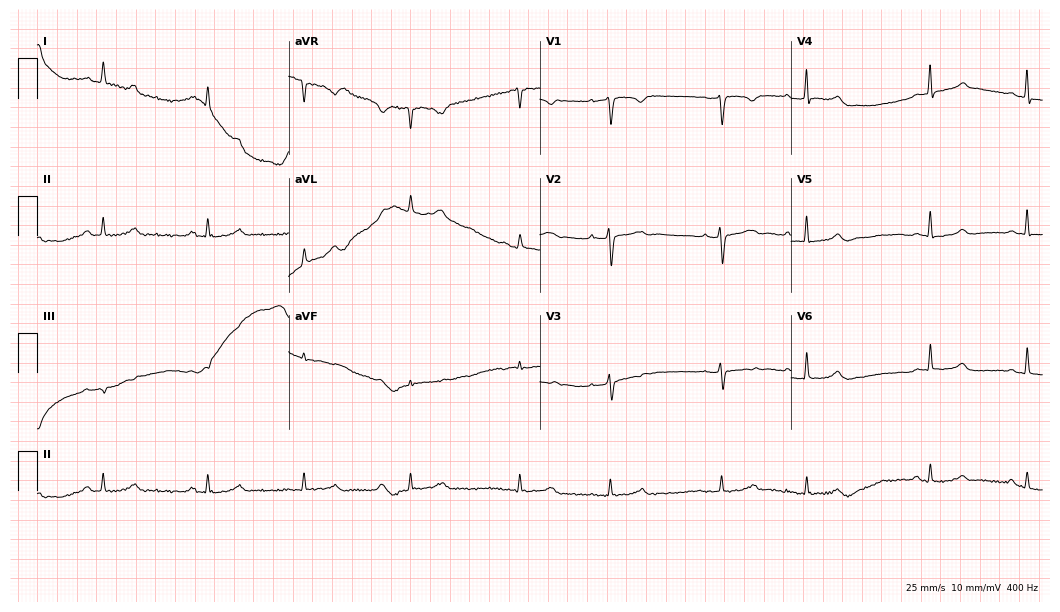
ECG — a woman, 45 years old. Screened for six findings — first-degree AV block, right bundle branch block (RBBB), left bundle branch block (LBBB), sinus bradycardia, atrial fibrillation (AF), sinus tachycardia — none is recorded. Other findings, if any, are not listed.